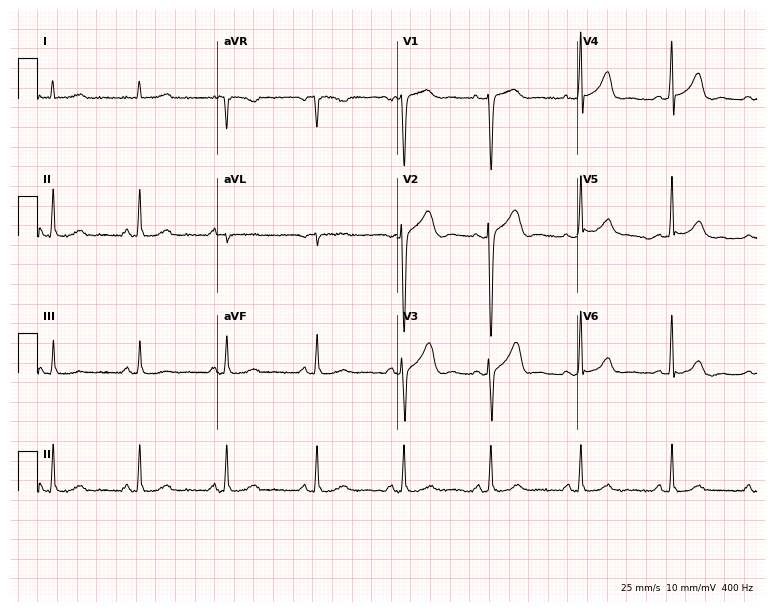
Electrocardiogram, a woman, 48 years old. Overall reading on record: normal ECG.